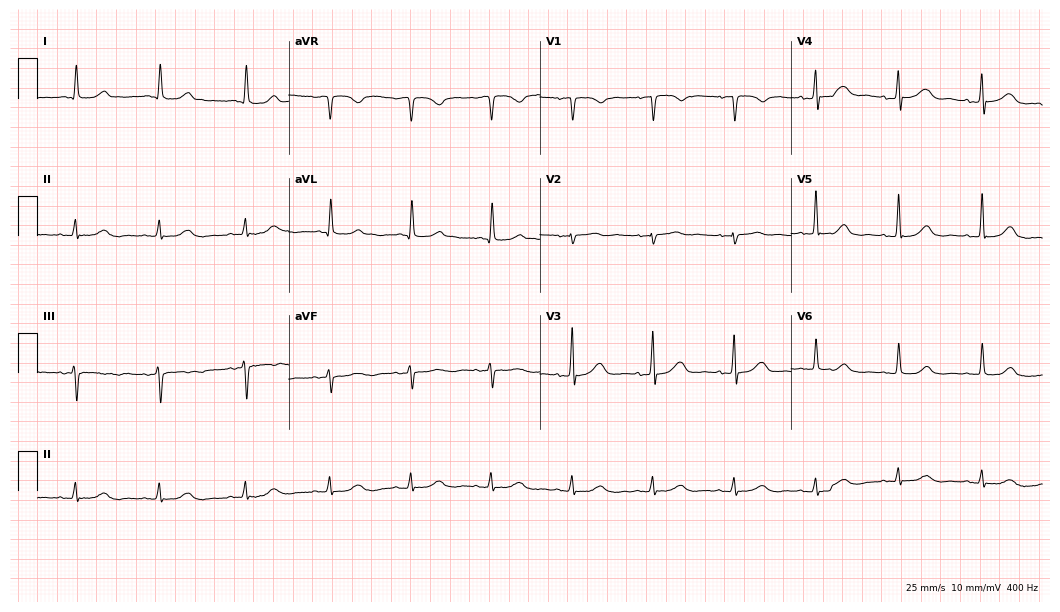
ECG (10.2-second recording at 400 Hz) — an 81-year-old female patient. Screened for six findings — first-degree AV block, right bundle branch block (RBBB), left bundle branch block (LBBB), sinus bradycardia, atrial fibrillation (AF), sinus tachycardia — none is recorded.